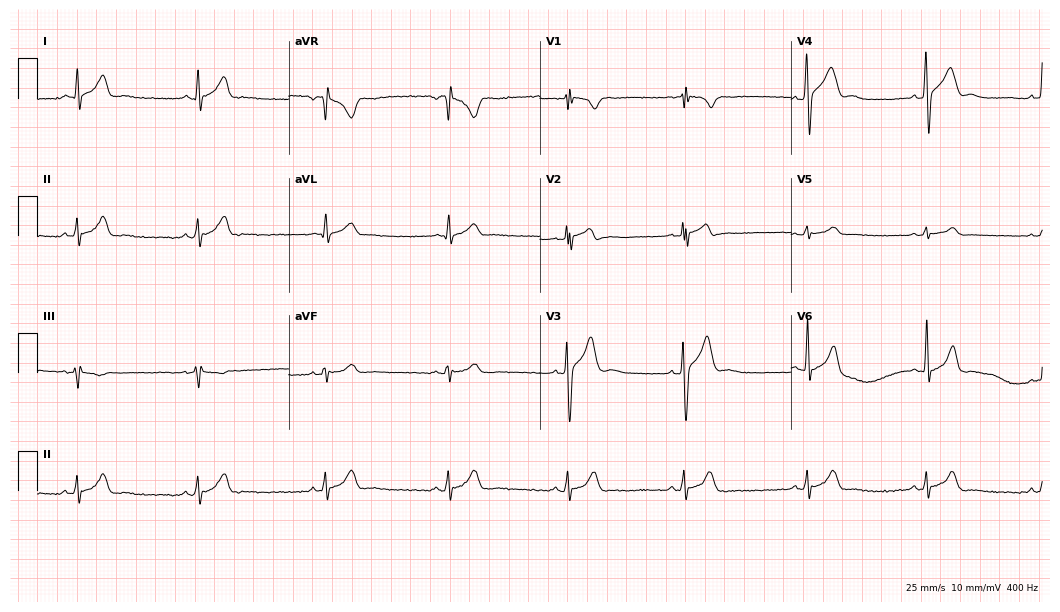
ECG — a 31-year-old man. Findings include sinus bradycardia (a sinus rate of 50 beats per minute or less).